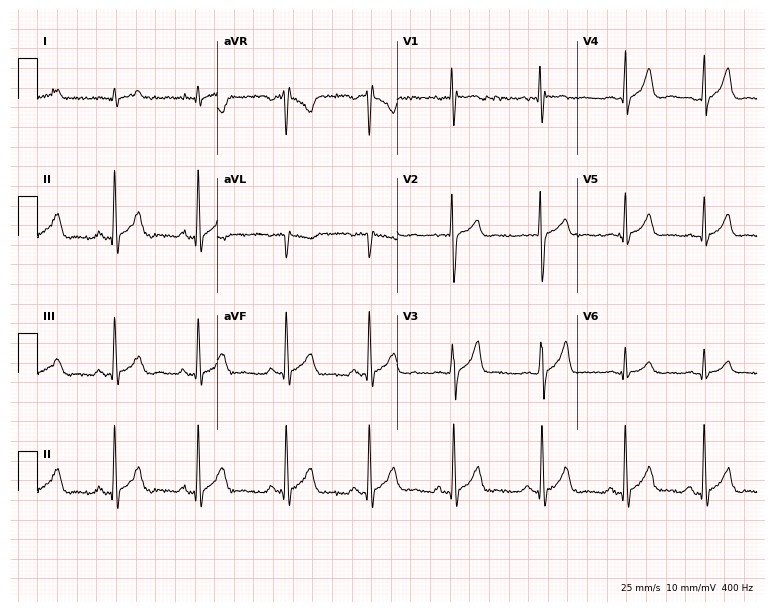
12-lead ECG from a male patient, 18 years old. Labelled as a normal ECG.